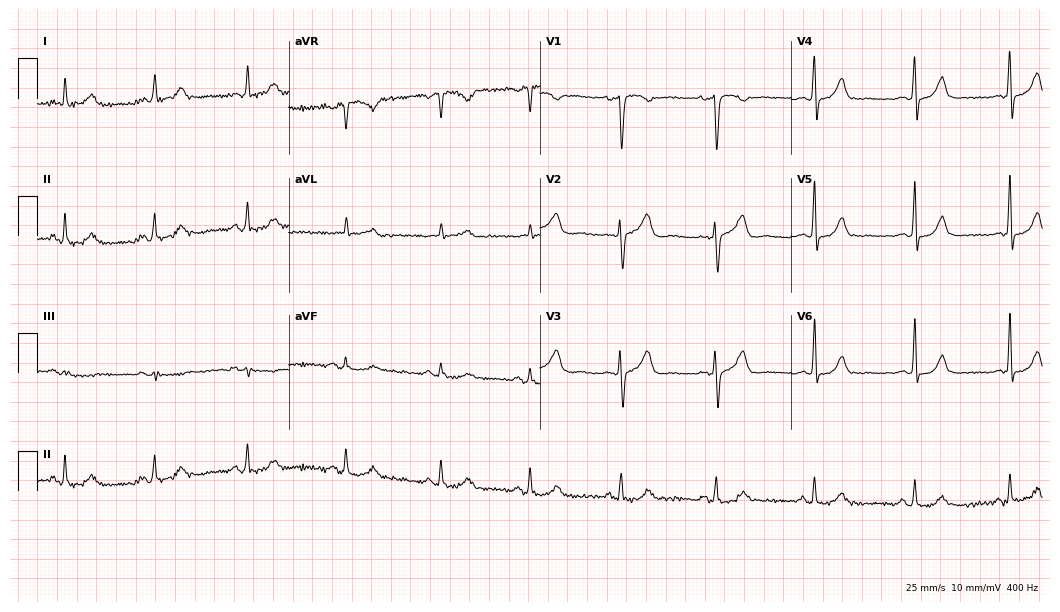
Standard 12-lead ECG recorded from a female patient, 56 years old. Read as a normal ECG.